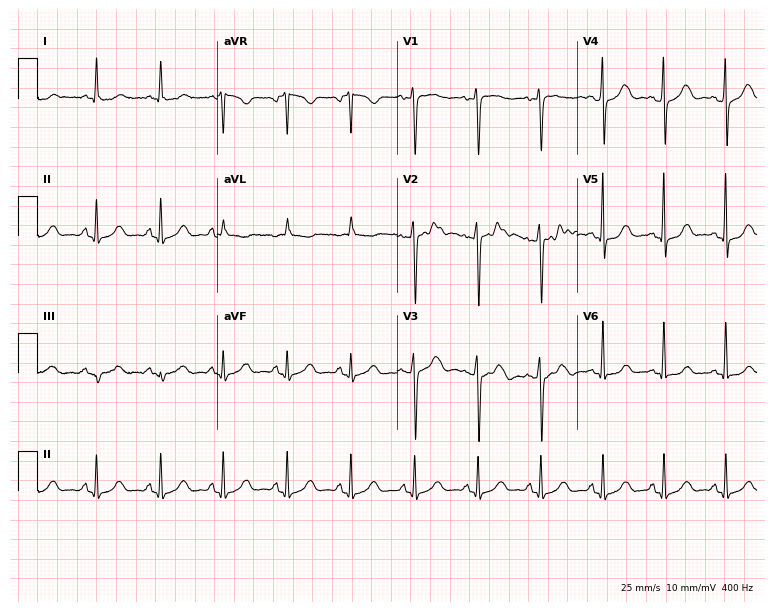
ECG (7.3-second recording at 400 Hz) — a 40-year-old woman. Labelled as a normal ECG.